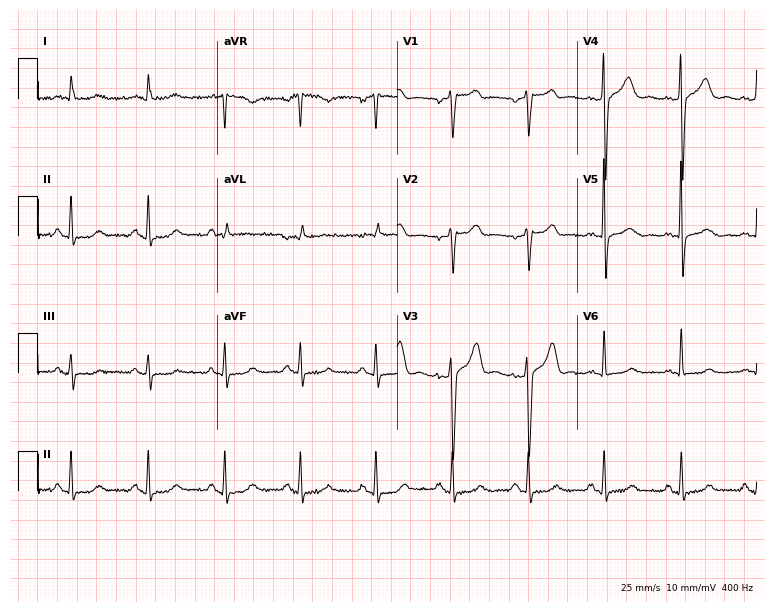
12-lead ECG from a male patient, 65 years old. Screened for six findings — first-degree AV block, right bundle branch block, left bundle branch block, sinus bradycardia, atrial fibrillation, sinus tachycardia — none is recorded.